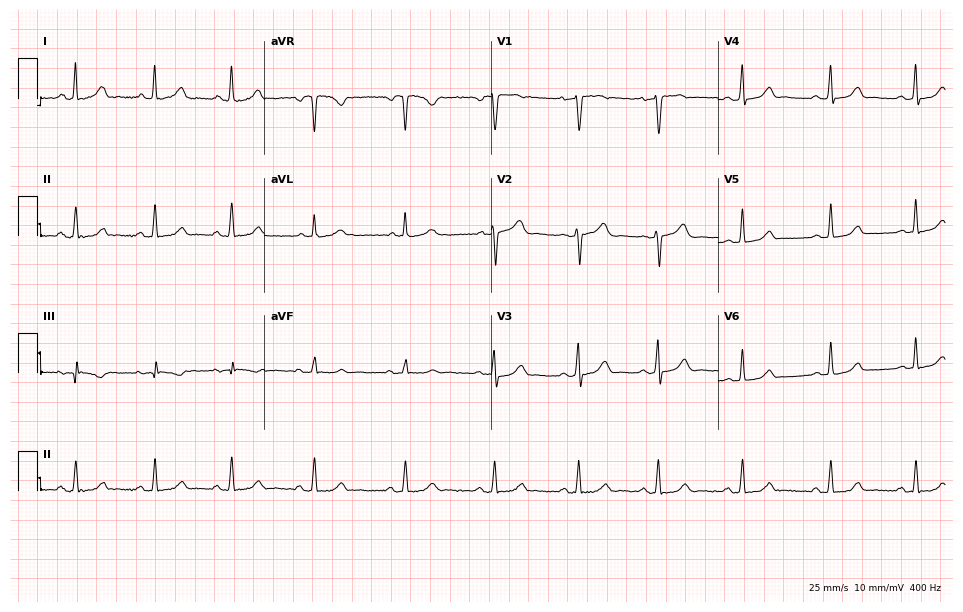
12-lead ECG (9.3-second recording at 400 Hz) from a 36-year-old woman. Screened for six findings — first-degree AV block, right bundle branch block, left bundle branch block, sinus bradycardia, atrial fibrillation, sinus tachycardia — none is recorded. Only these six findings were labelled.